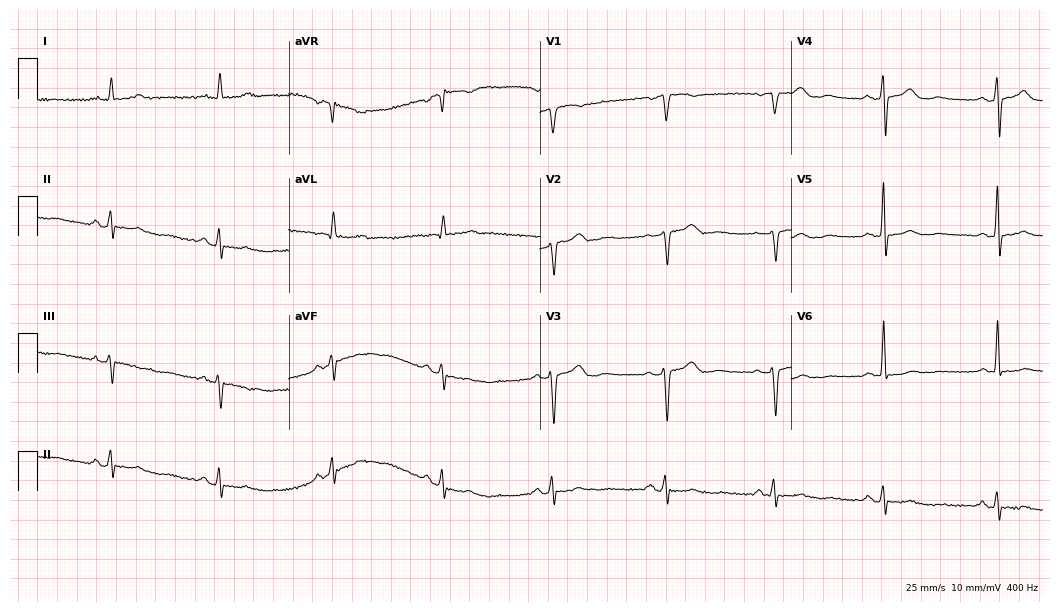
ECG — a female patient, 60 years old. Screened for six findings — first-degree AV block, right bundle branch block, left bundle branch block, sinus bradycardia, atrial fibrillation, sinus tachycardia — none is recorded.